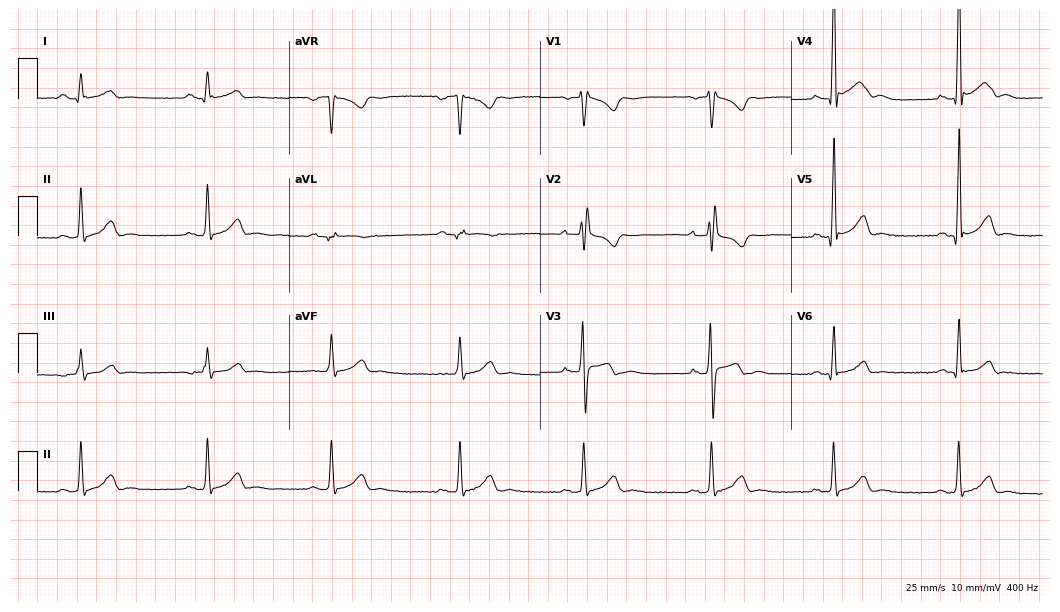
12-lead ECG from a 24-year-old male. Findings include right bundle branch block.